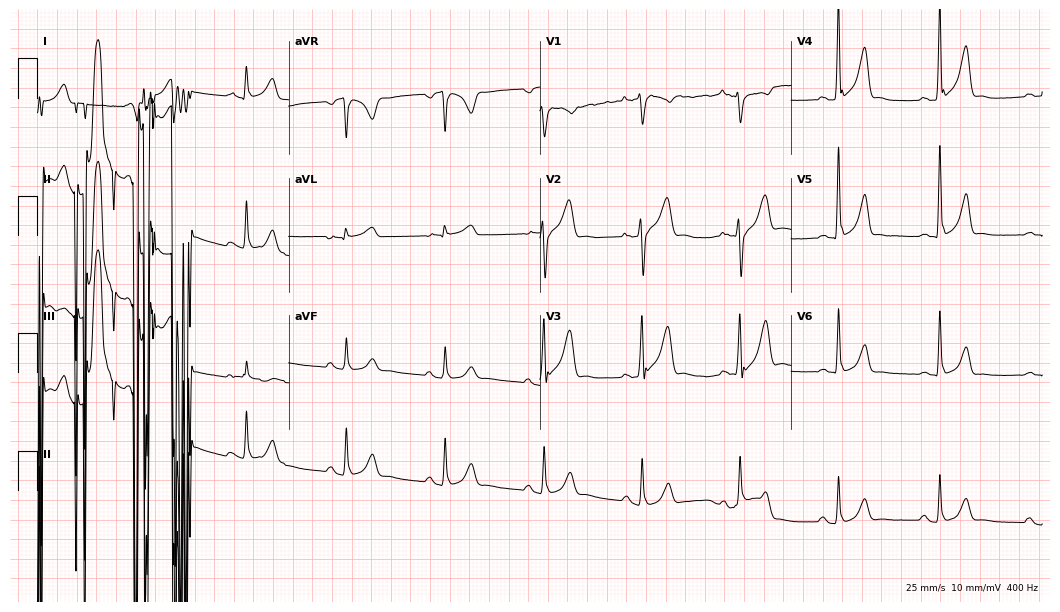
12-lead ECG (10.2-second recording at 400 Hz) from a male patient, 44 years old. Screened for six findings — first-degree AV block, right bundle branch block, left bundle branch block, sinus bradycardia, atrial fibrillation, sinus tachycardia — none is recorded.